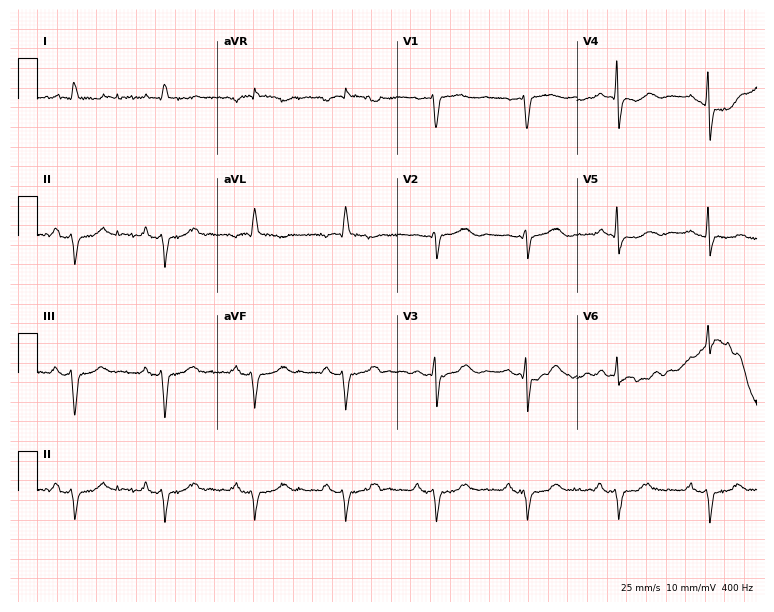
Standard 12-lead ECG recorded from a female, 85 years old. None of these six findings is recorded: first-degree AV block, right bundle branch block, left bundle branch block, sinus bradycardia, atrial fibrillation, sinus tachycardia. Findings outside these six are not listed.